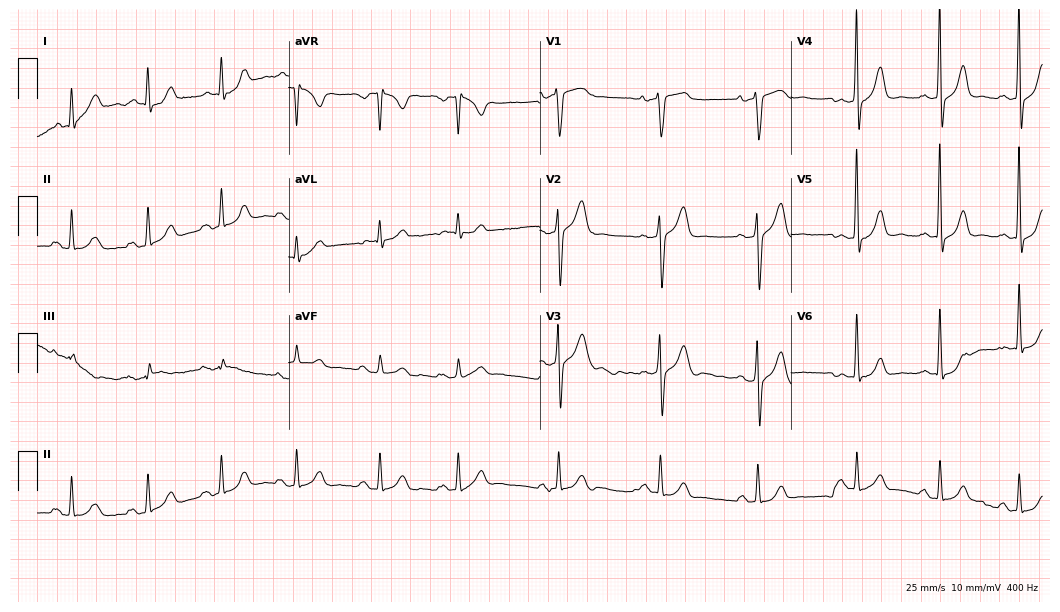
Standard 12-lead ECG recorded from a male patient, 58 years old. Read as a normal ECG.